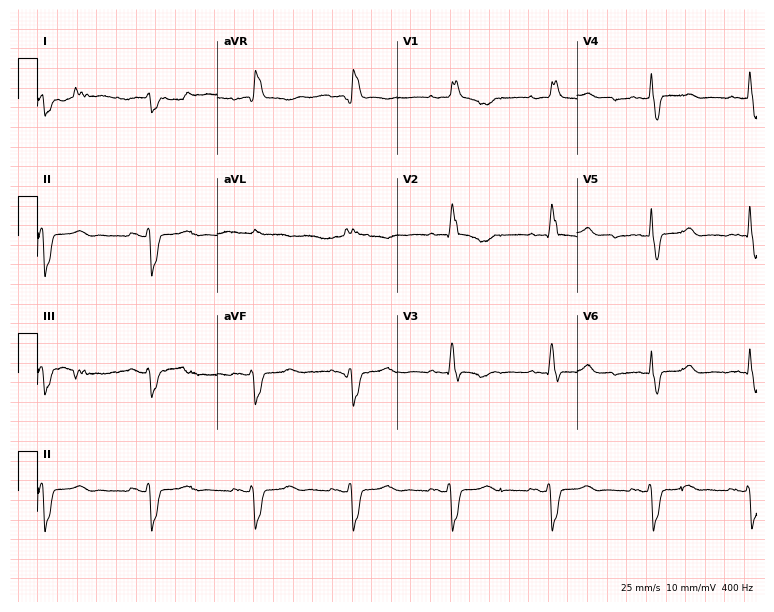
12-lead ECG (7.3-second recording at 400 Hz) from a 61-year-old woman. Findings include right bundle branch block.